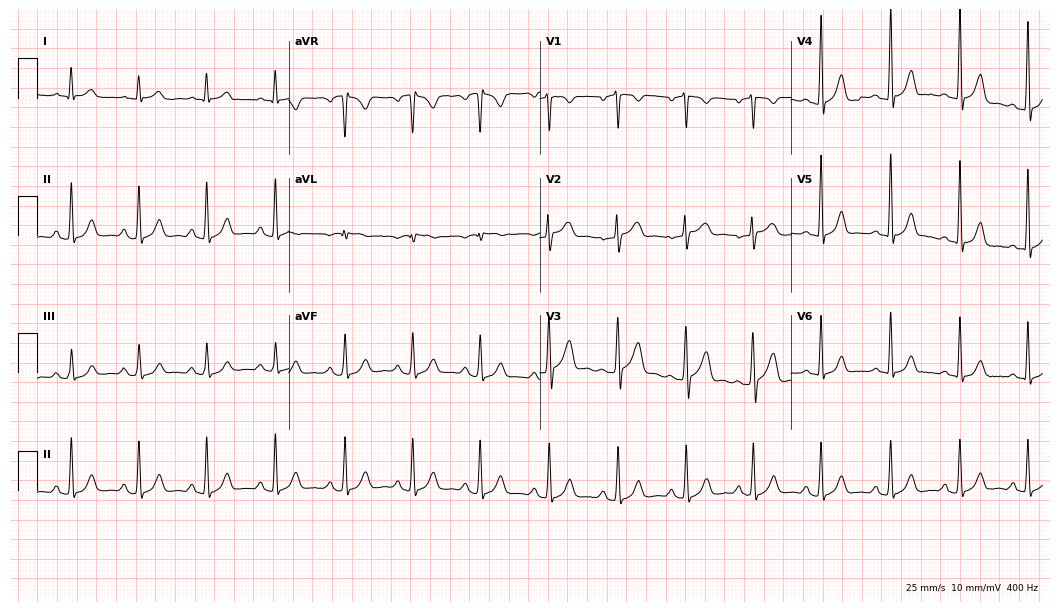
ECG — a male patient, 64 years old. Labelled as a normal ECG.